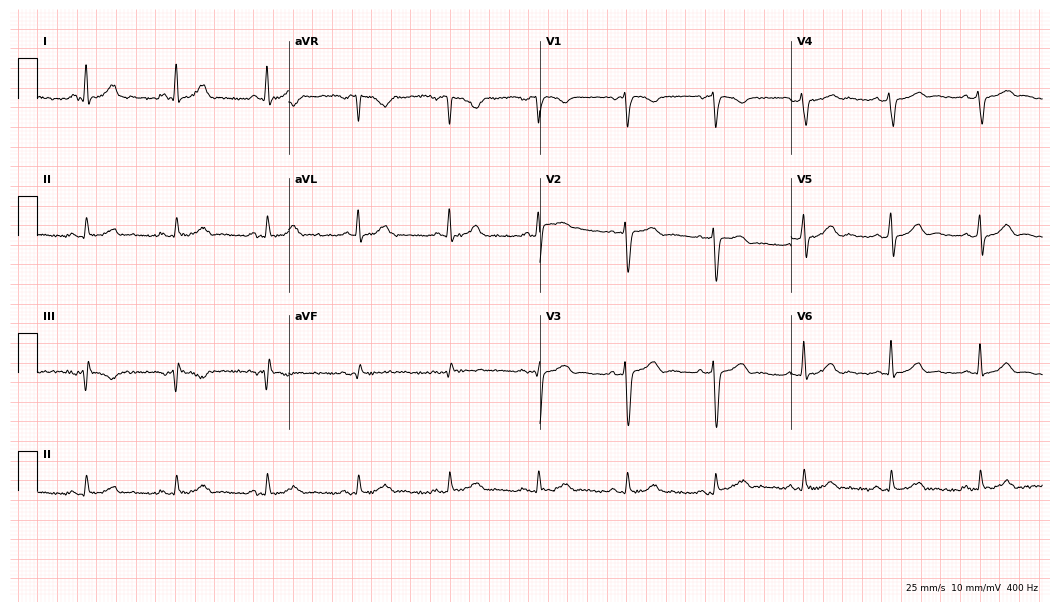
12-lead ECG (10.2-second recording at 400 Hz) from a male patient, 57 years old. Labelled as a normal ECG.